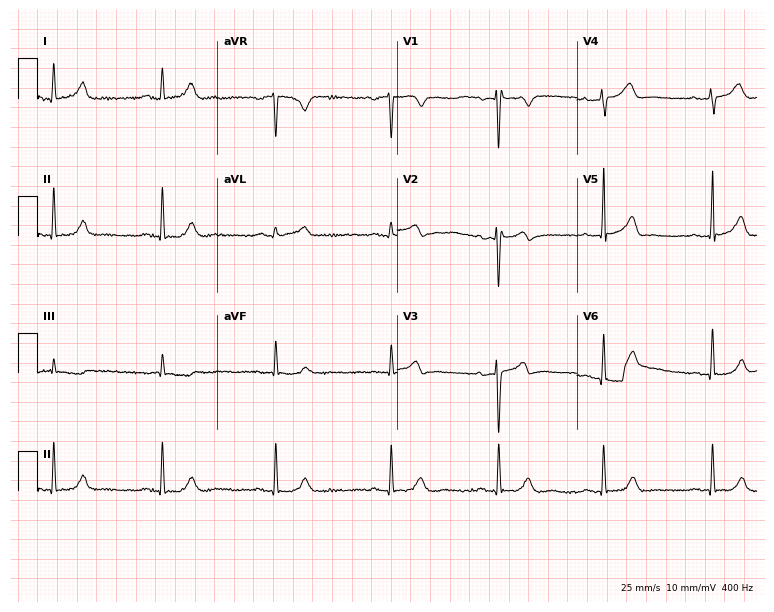
Electrocardiogram (7.3-second recording at 400 Hz), a 43-year-old female patient. Overall reading on record: normal ECG.